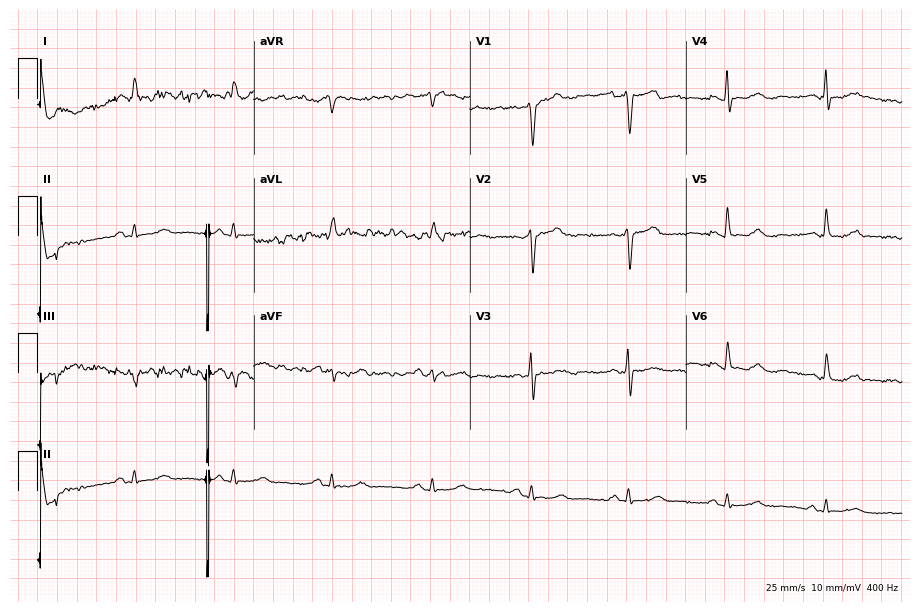
Electrocardiogram (8.8-second recording at 400 Hz), a male patient, 80 years old. Of the six screened findings (first-degree AV block, right bundle branch block (RBBB), left bundle branch block (LBBB), sinus bradycardia, atrial fibrillation (AF), sinus tachycardia), none is recorded. Findings outside these six are not listed.